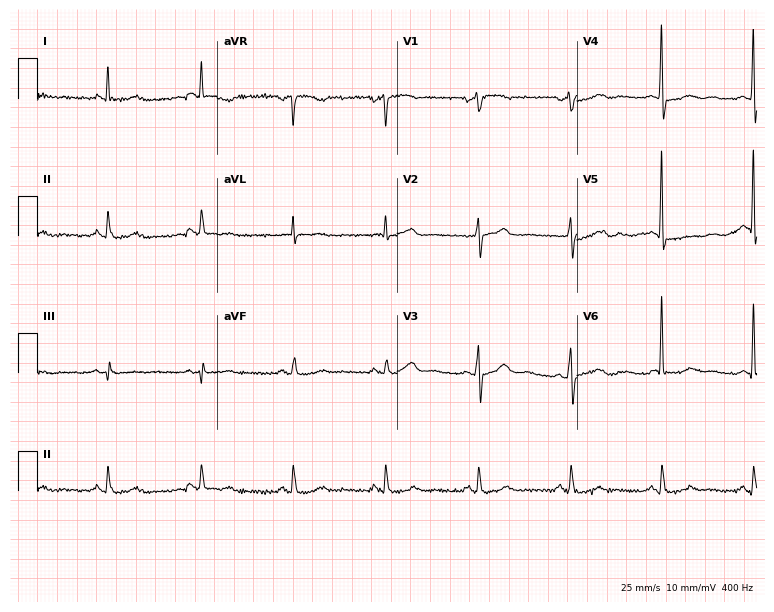
12-lead ECG from an 80-year-old male. Labelled as a normal ECG.